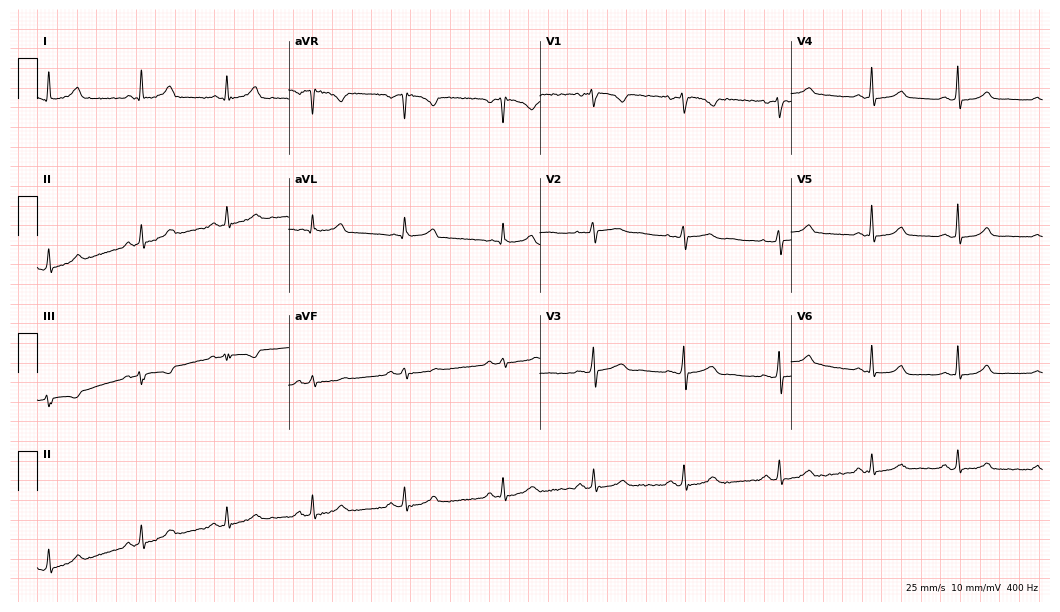
12-lead ECG from a female, 37 years old (10.2-second recording at 400 Hz). Recorded interpretation: within normal limits.